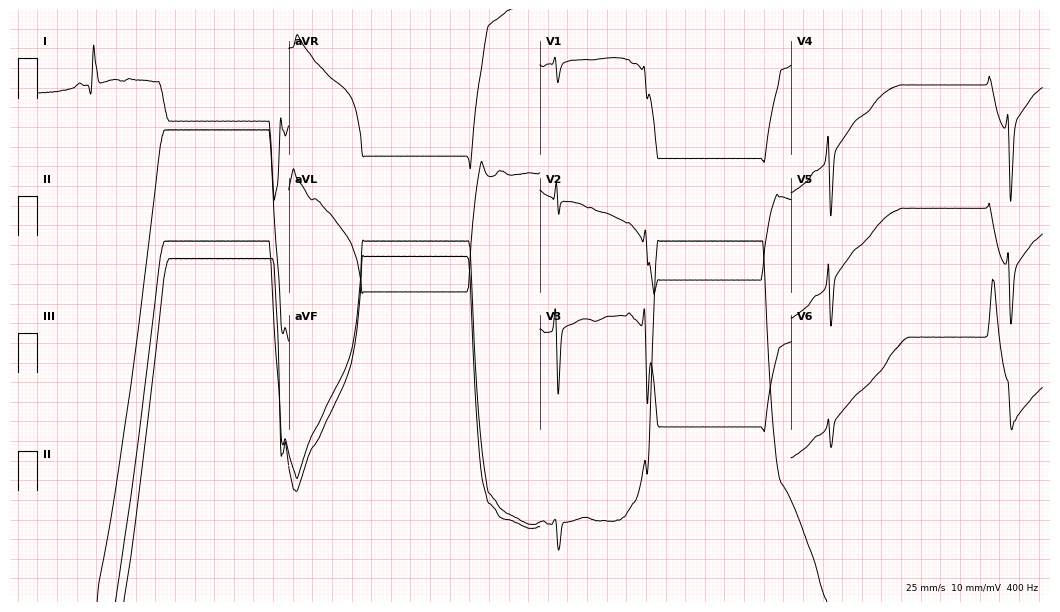
Resting 12-lead electrocardiogram. Patient: a 68-year-old female. None of these six findings is recorded: first-degree AV block, right bundle branch block, left bundle branch block, sinus bradycardia, atrial fibrillation, sinus tachycardia. Only these six findings were labelled.